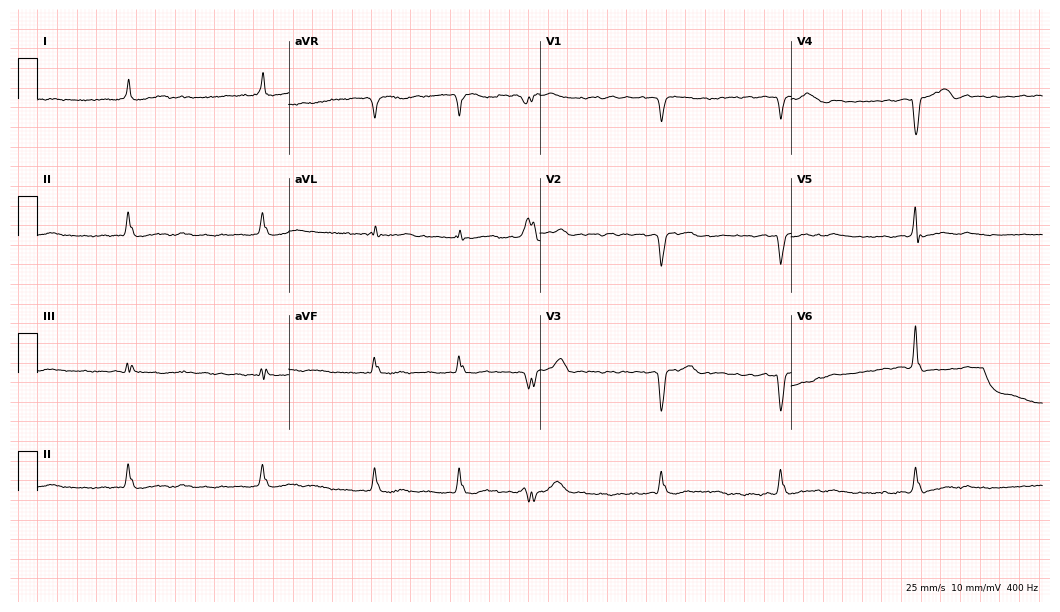
Electrocardiogram, a female, 76 years old. Interpretation includes atrial fibrillation.